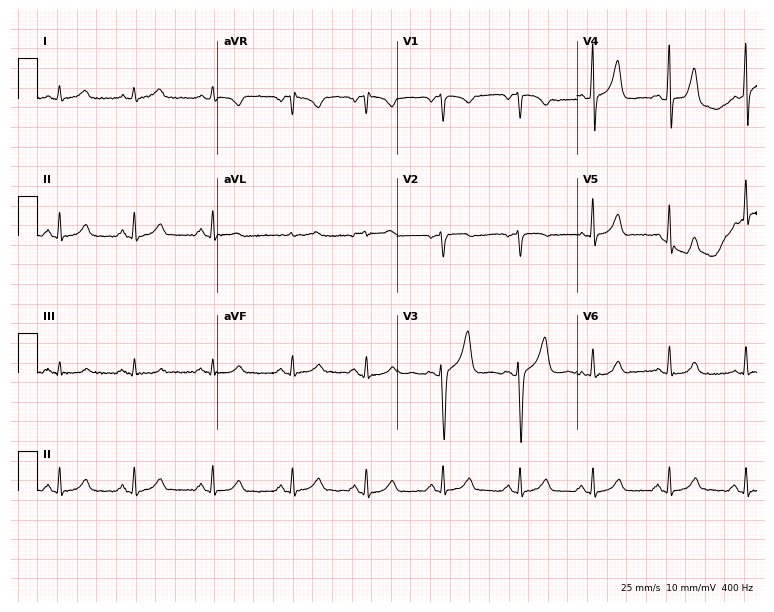
Standard 12-lead ECG recorded from a woman, 44 years old (7.3-second recording at 400 Hz). None of these six findings is recorded: first-degree AV block, right bundle branch block, left bundle branch block, sinus bradycardia, atrial fibrillation, sinus tachycardia. Only these six findings were labelled.